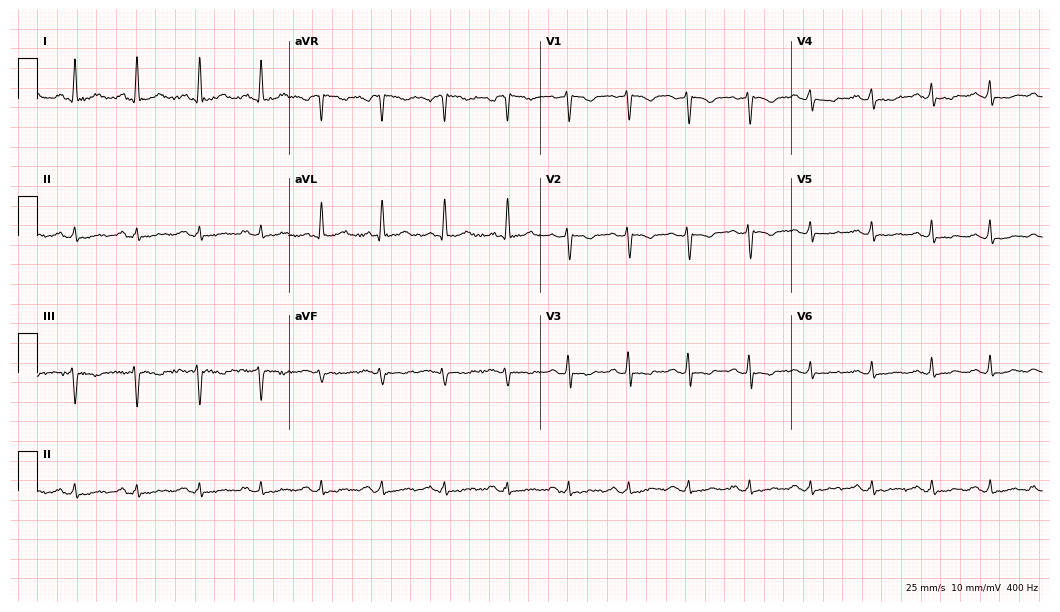
Standard 12-lead ECG recorded from a 46-year-old woman (10.2-second recording at 400 Hz). None of these six findings is recorded: first-degree AV block, right bundle branch block, left bundle branch block, sinus bradycardia, atrial fibrillation, sinus tachycardia. Findings outside these six are not listed.